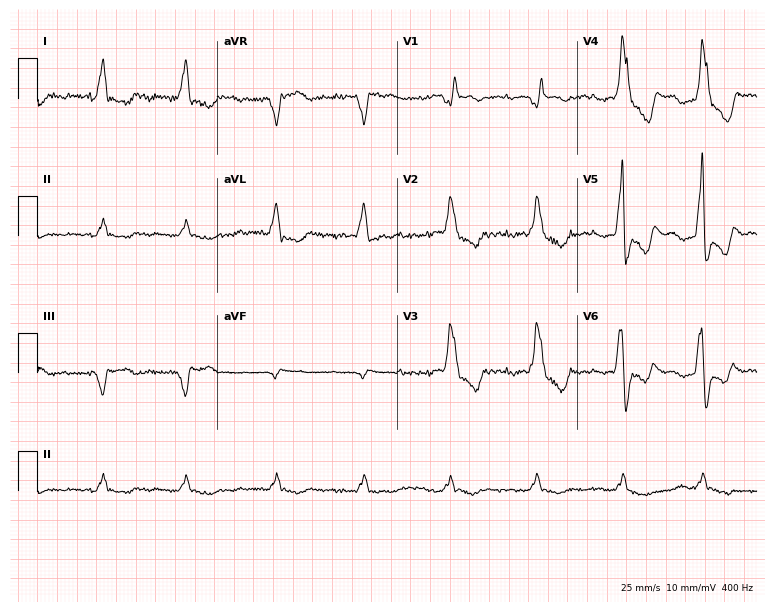
Electrocardiogram, an 81-year-old female. Of the six screened findings (first-degree AV block, right bundle branch block, left bundle branch block, sinus bradycardia, atrial fibrillation, sinus tachycardia), none is recorded. Findings outside these six are not listed.